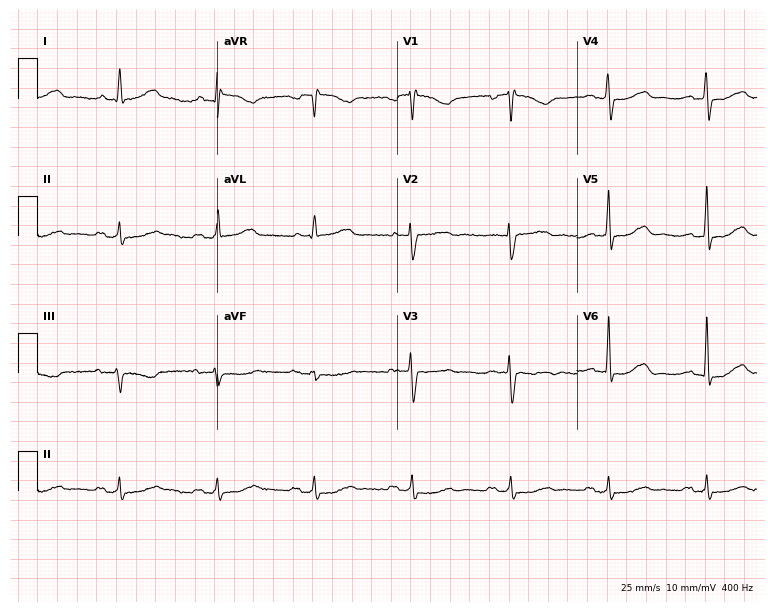
Standard 12-lead ECG recorded from a 71-year-old female patient. None of these six findings is recorded: first-degree AV block, right bundle branch block (RBBB), left bundle branch block (LBBB), sinus bradycardia, atrial fibrillation (AF), sinus tachycardia. Only these six findings were labelled.